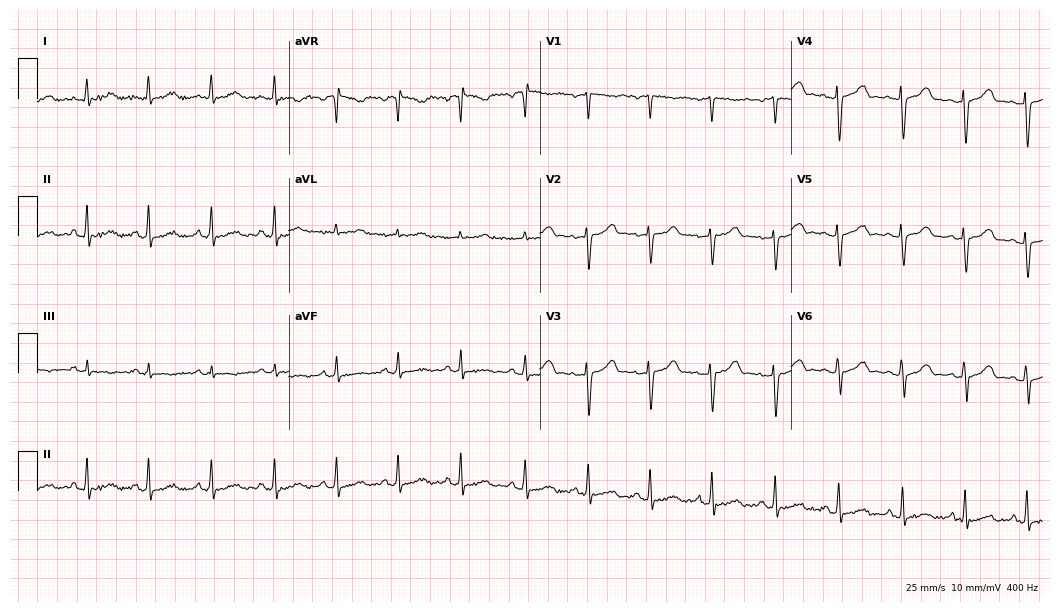
ECG — a 44-year-old female patient. Labelled as a normal ECG.